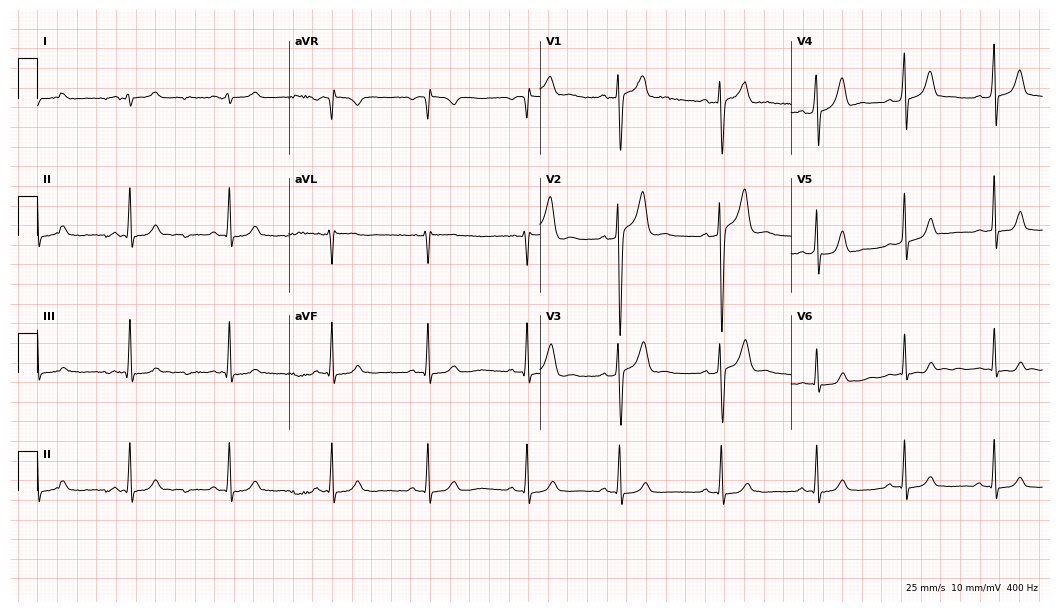
Resting 12-lead electrocardiogram. Patient: a 21-year-old male. Read as a normal ECG.